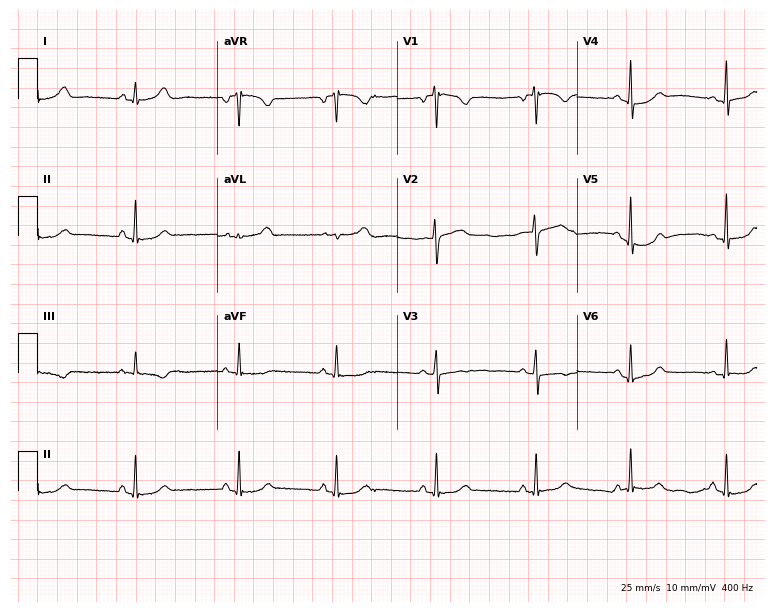
12-lead ECG (7.3-second recording at 400 Hz) from a 44-year-old woman. Labelled as a normal ECG.